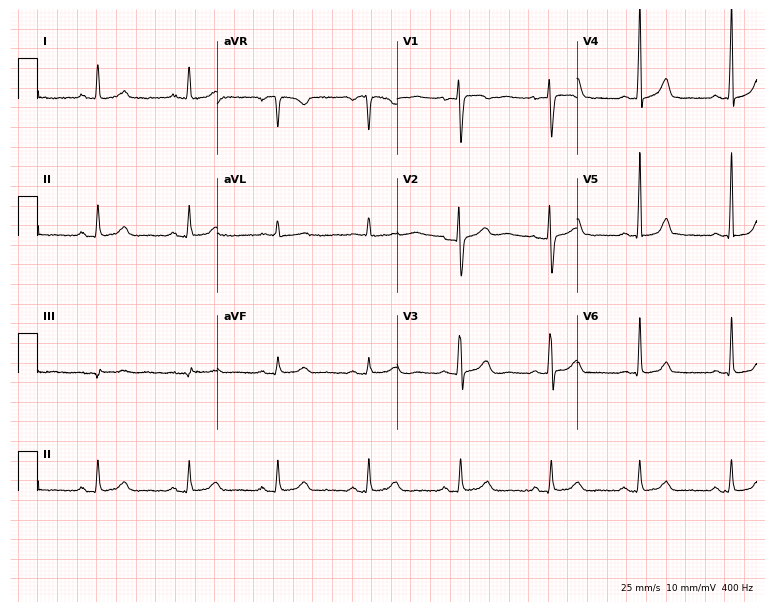
Standard 12-lead ECG recorded from a woman, 35 years old (7.3-second recording at 400 Hz). Read as a normal ECG.